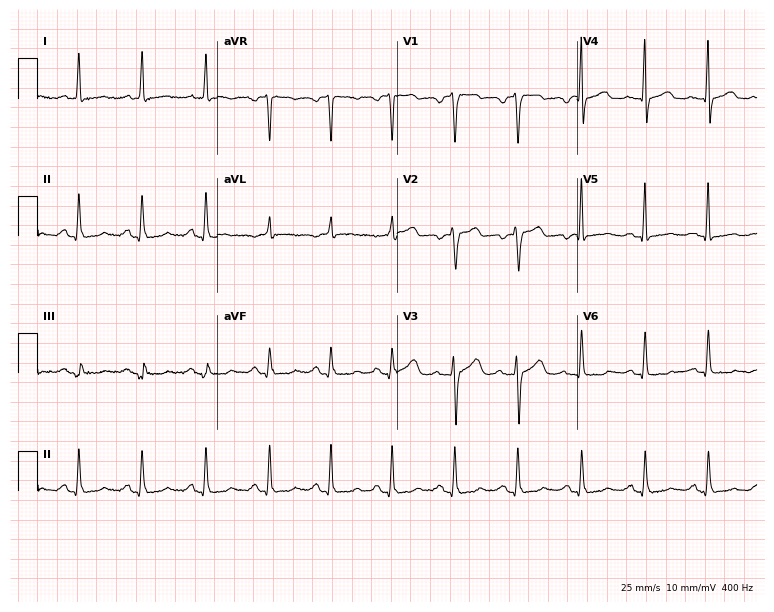
ECG — a 56-year-old female patient. Labelled as a normal ECG.